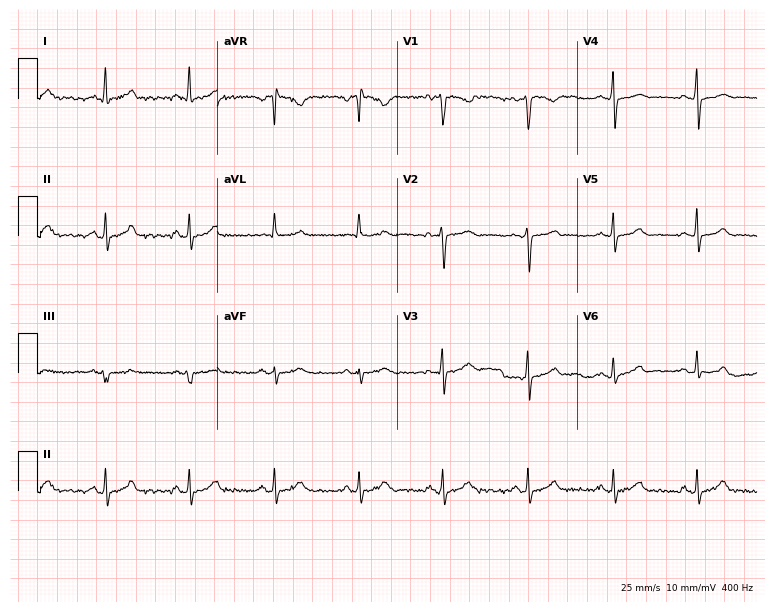
12-lead ECG from a 55-year-old woman (7.3-second recording at 400 Hz). Recorded interpretation: within normal limits.